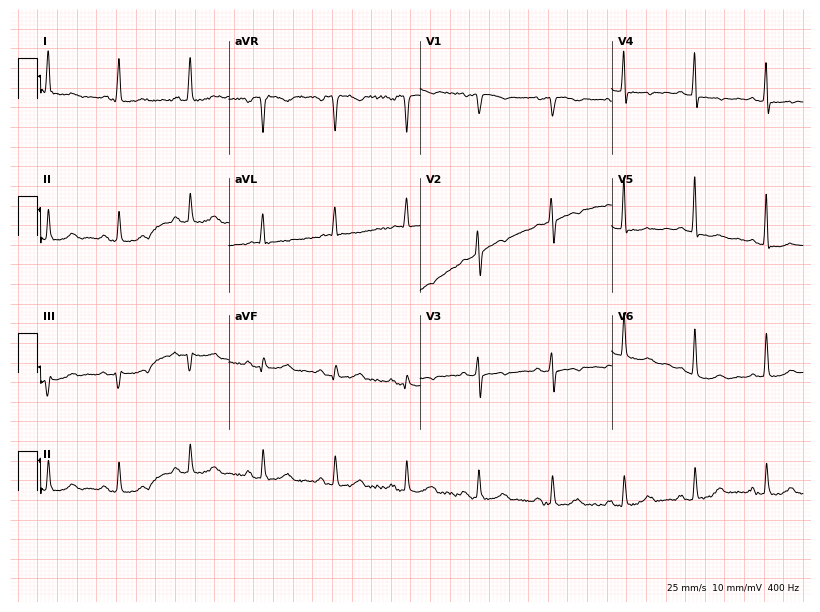
Electrocardiogram (7.8-second recording at 400 Hz), a 76-year-old female. Of the six screened findings (first-degree AV block, right bundle branch block, left bundle branch block, sinus bradycardia, atrial fibrillation, sinus tachycardia), none is recorded. Other findings, if any, are not listed.